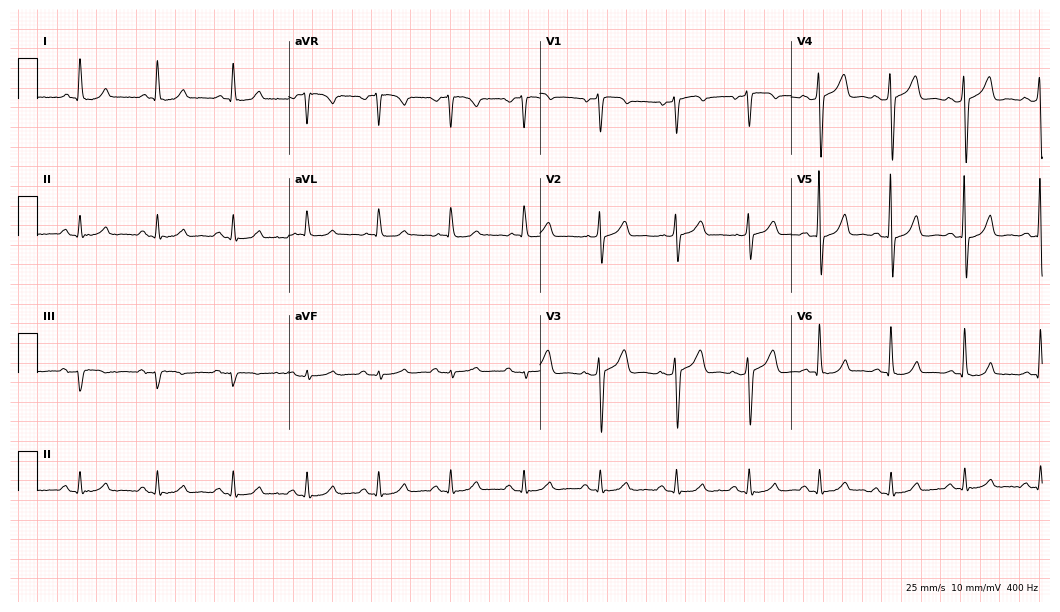
Electrocardiogram (10.2-second recording at 400 Hz), an 80-year-old male patient. Overall reading on record: normal ECG.